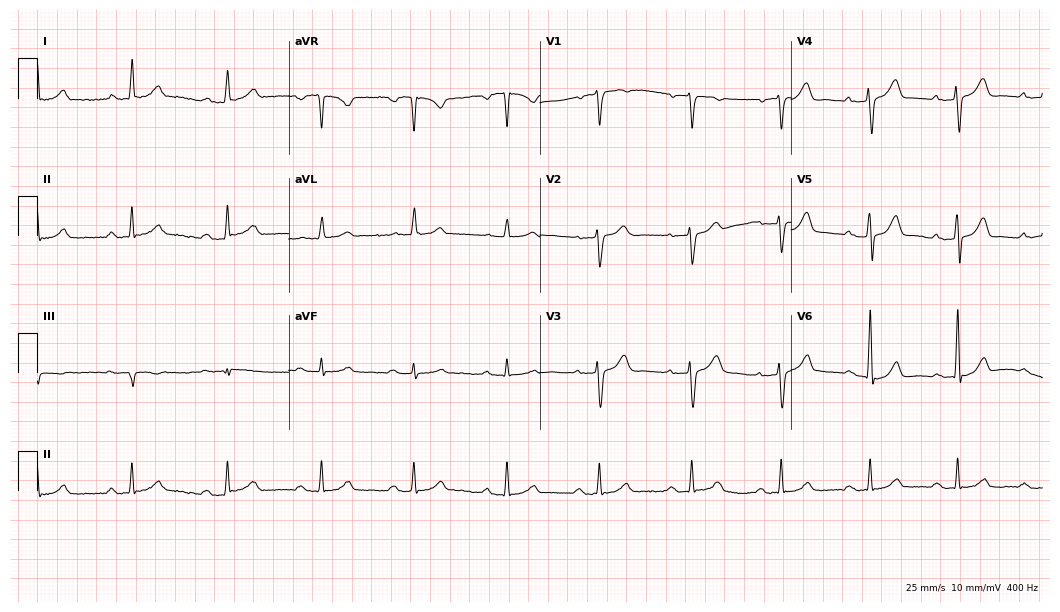
12-lead ECG from a man, 67 years old. Screened for six findings — first-degree AV block, right bundle branch block, left bundle branch block, sinus bradycardia, atrial fibrillation, sinus tachycardia — none is recorded.